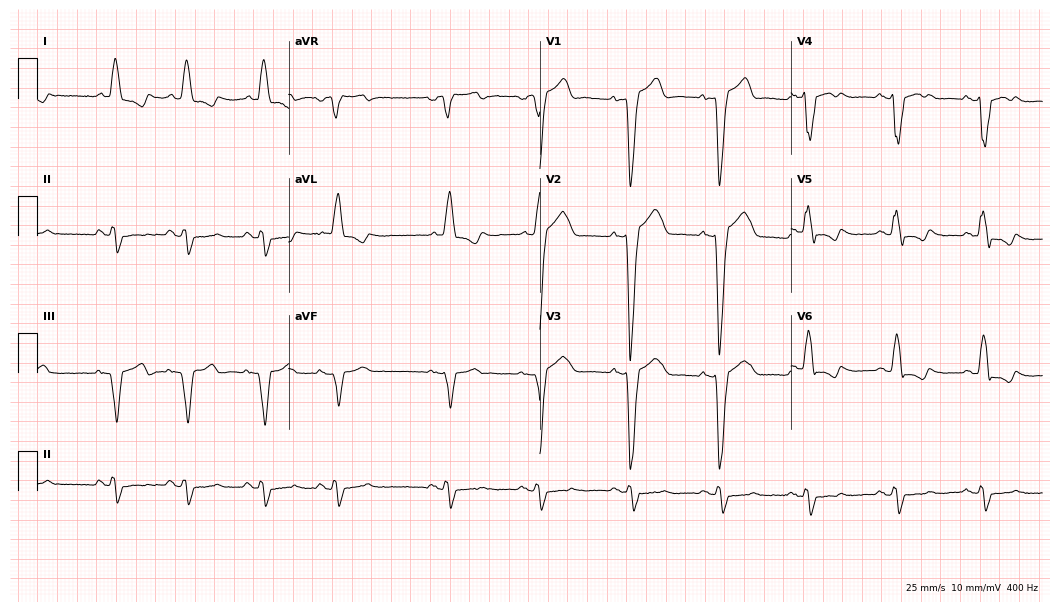
12-lead ECG from a 64-year-old man. Findings include left bundle branch block.